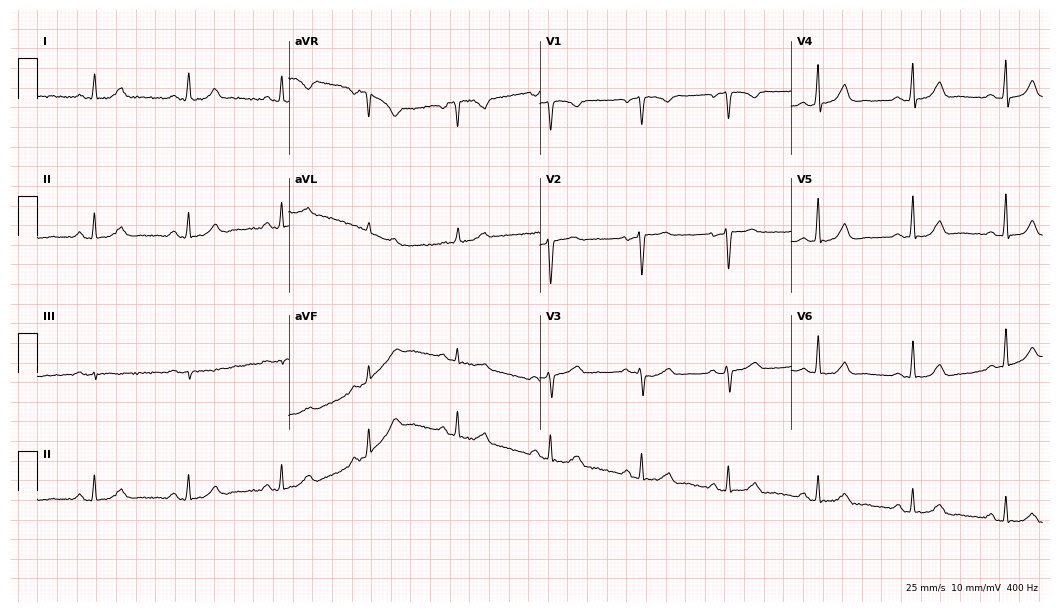
Resting 12-lead electrocardiogram. Patient: a 51-year-old woman. Read as a normal ECG.